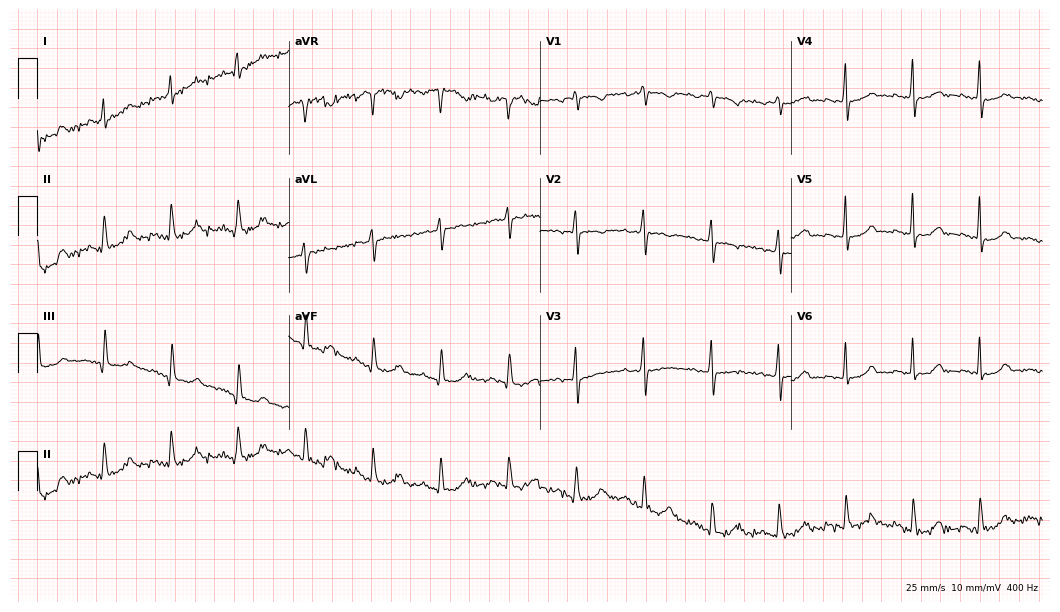
ECG (10.2-second recording at 400 Hz) — a female patient, 78 years old. Labelled as a normal ECG.